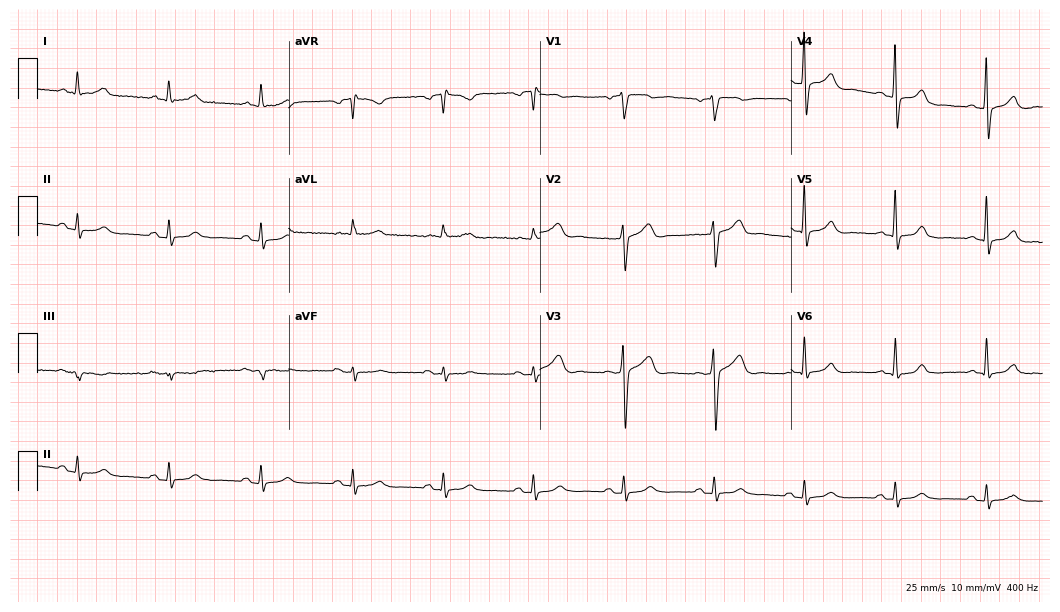
Standard 12-lead ECG recorded from a 67-year-old male. Read as a normal ECG.